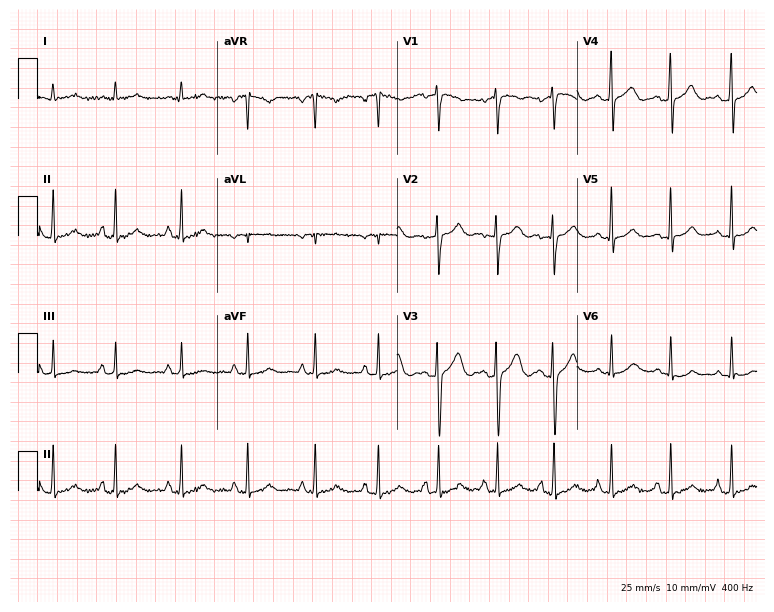
ECG — a female, 19 years old. Screened for six findings — first-degree AV block, right bundle branch block, left bundle branch block, sinus bradycardia, atrial fibrillation, sinus tachycardia — none is recorded. Findings outside these six are not listed.